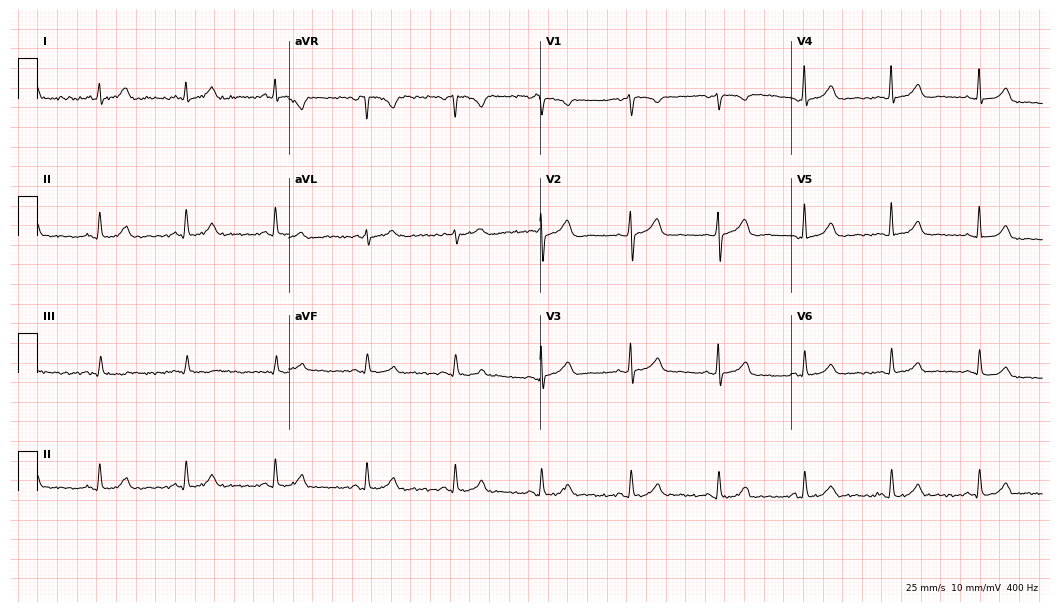
12-lead ECG from a female, 39 years old. Labelled as a normal ECG.